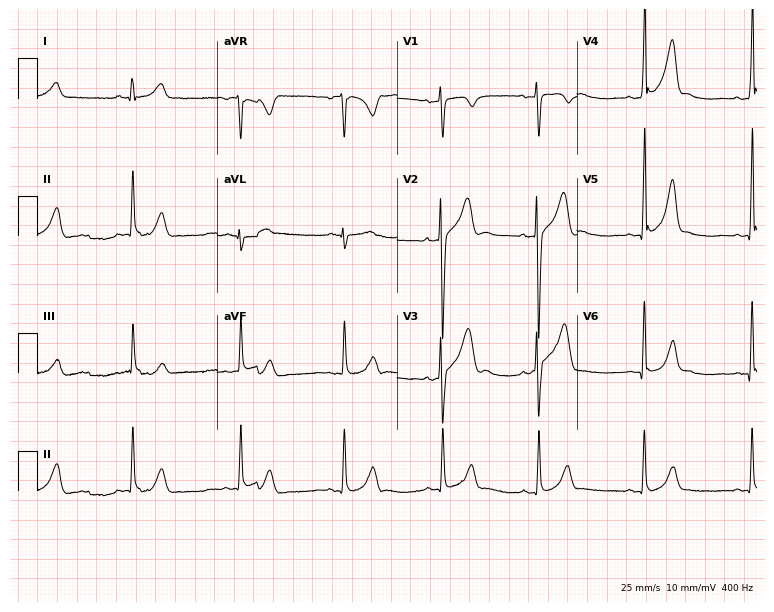
Resting 12-lead electrocardiogram. Patient: a 36-year-old man. None of these six findings is recorded: first-degree AV block, right bundle branch block, left bundle branch block, sinus bradycardia, atrial fibrillation, sinus tachycardia. Only these six findings were labelled.